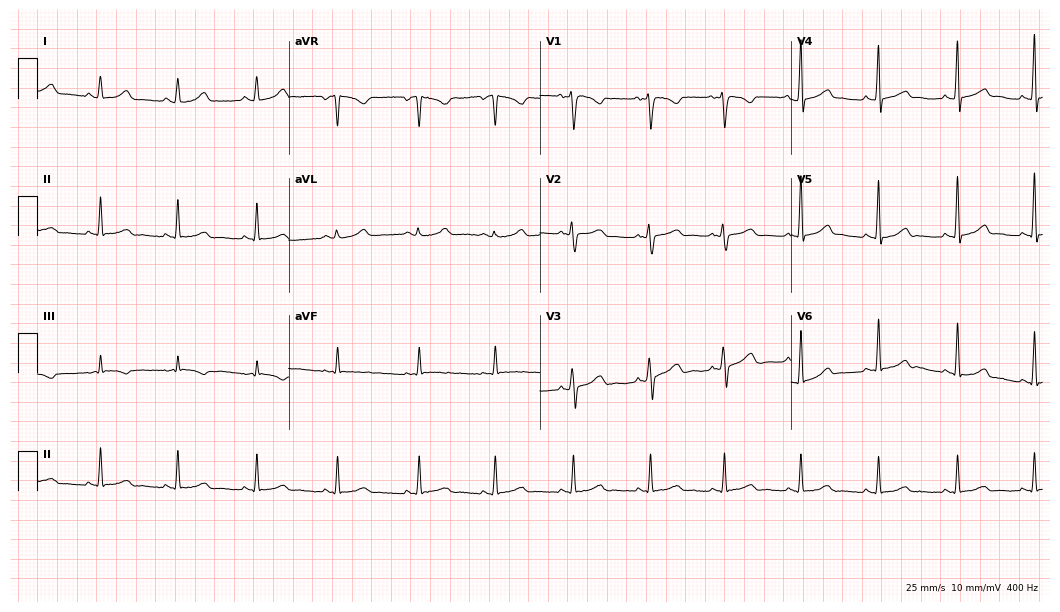
Electrocardiogram, a female patient, 30 years old. Overall reading on record: normal ECG.